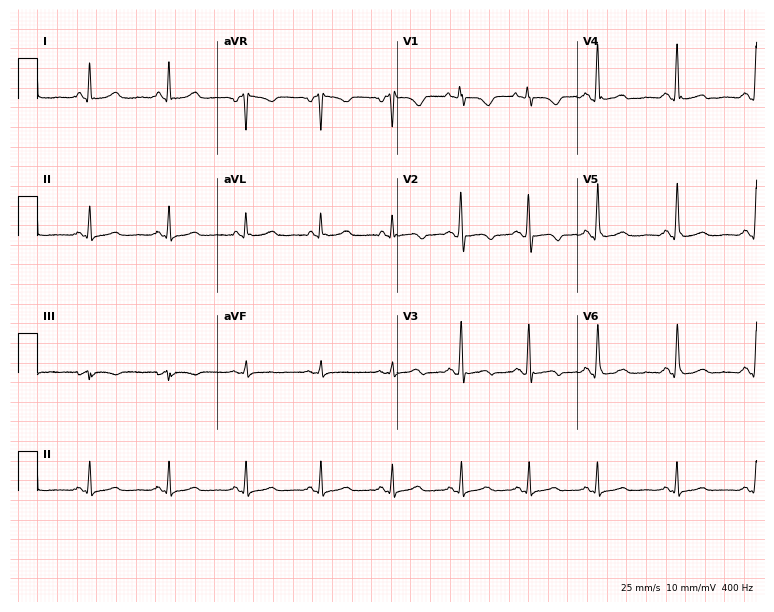
ECG — a 41-year-old woman. Screened for six findings — first-degree AV block, right bundle branch block, left bundle branch block, sinus bradycardia, atrial fibrillation, sinus tachycardia — none is recorded.